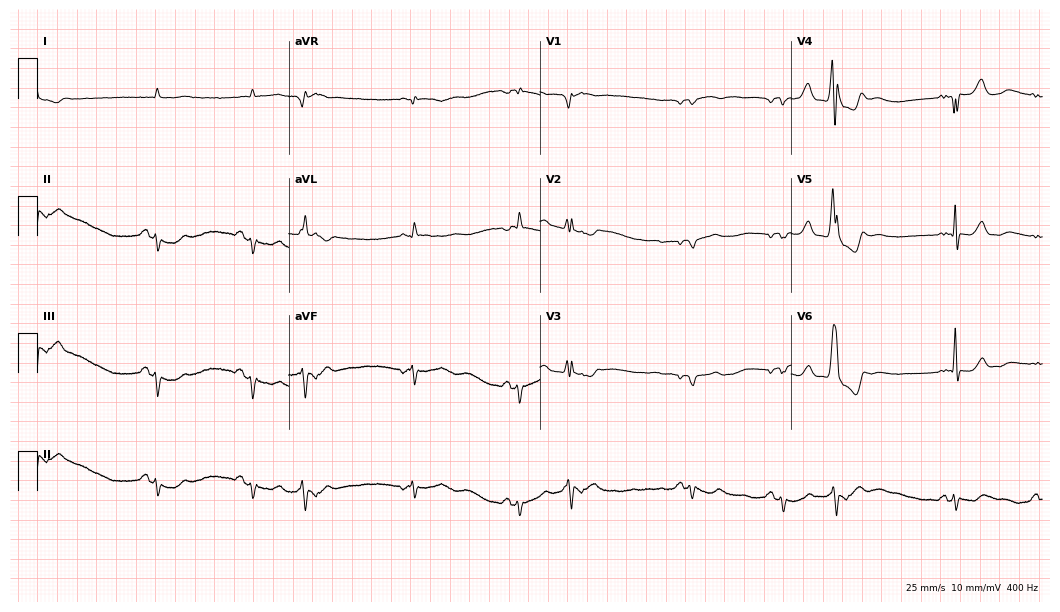
12-lead ECG from a male patient, 83 years old. No first-degree AV block, right bundle branch block (RBBB), left bundle branch block (LBBB), sinus bradycardia, atrial fibrillation (AF) or sinus tachycardia recorded for this tracing. Other findings, if any, are not listed.